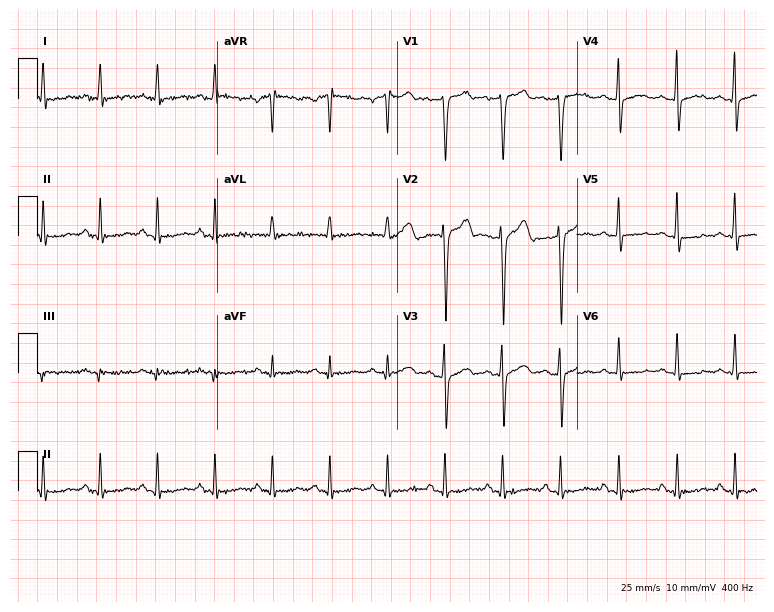
12-lead ECG (7.3-second recording at 400 Hz) from a 45-year-old man. Findings include sinus tachycardia (a sinus rate of 100 beats per minute or more).